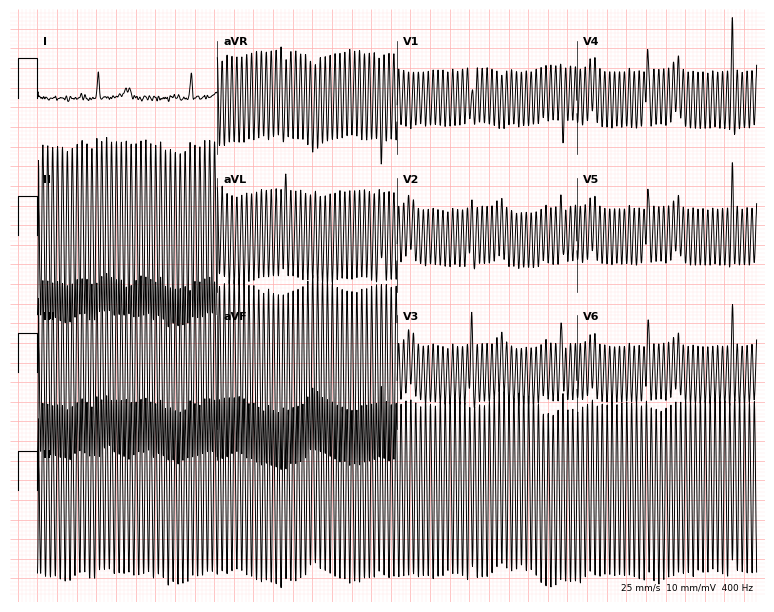
12-lead ECG from a woman, 74 years old (7.3-second recording at 400 Hz). No first-degree AV block, right bundle branch block, left bundle branch block, sinus bradycardia, atrial fibrillation or sinus tachycardia recorded for this tracing. Only these six findings were labelled.